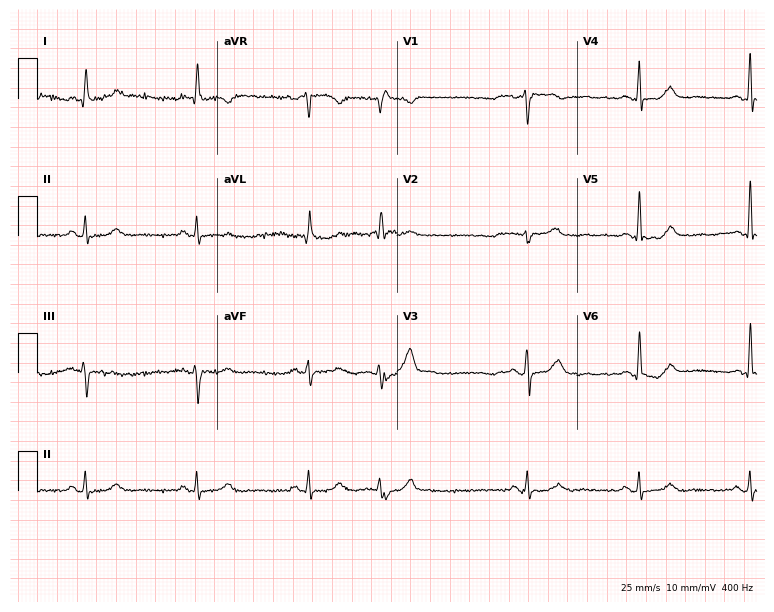
12-lead ECG from a 77-year-old male patient. Recorded interpretation: within normal limits.